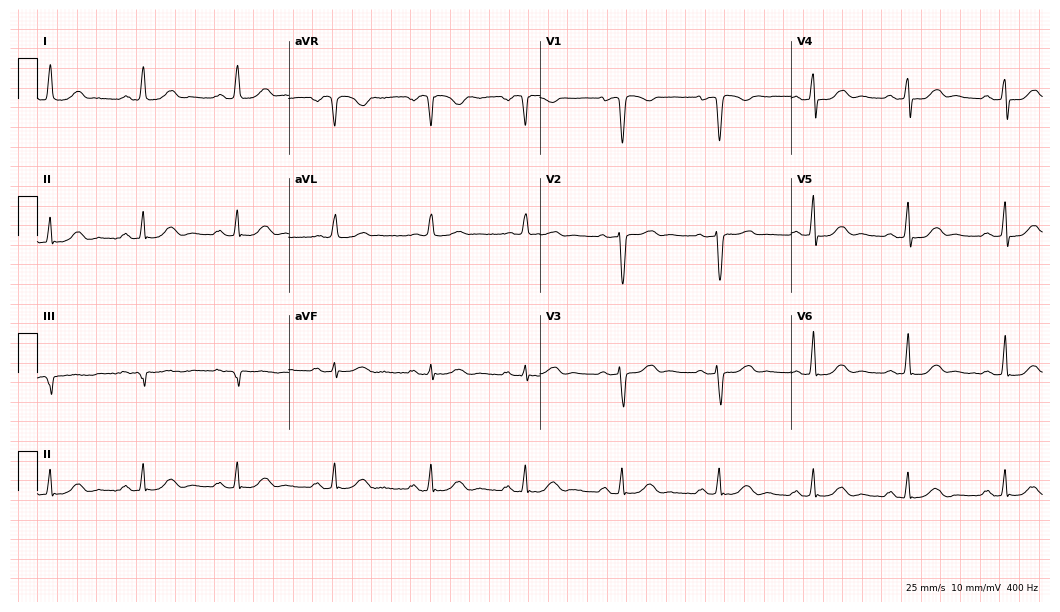
12-lead ECG from a woman, 70 years old. Labelled as a normal ECG.